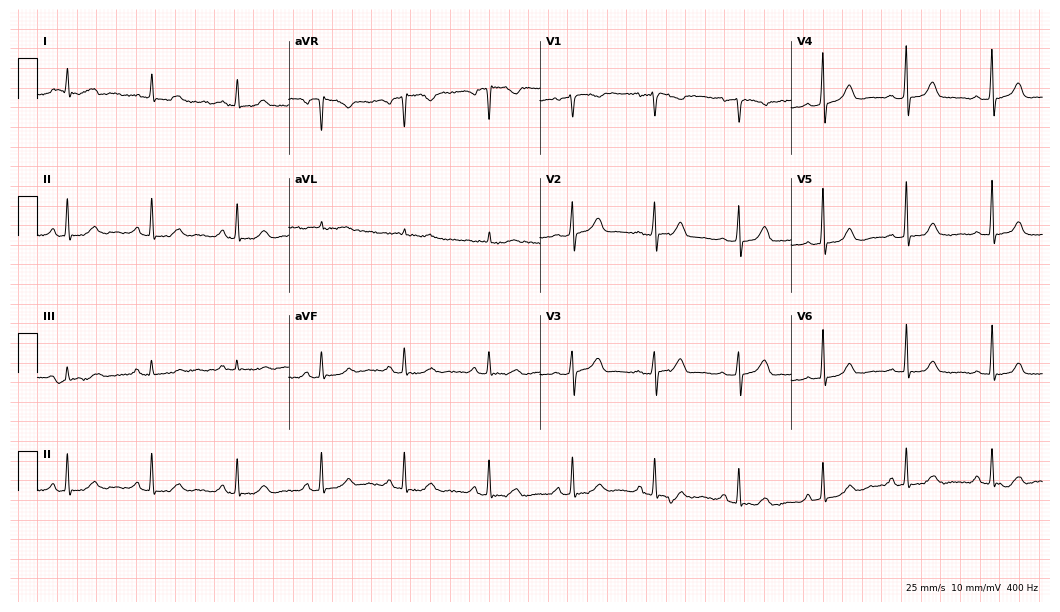
Resting 12-lead electrocardiogram (10.2-second recording at 400 Hz). Patient: a 49-year-old female. Read as a normal ECG.